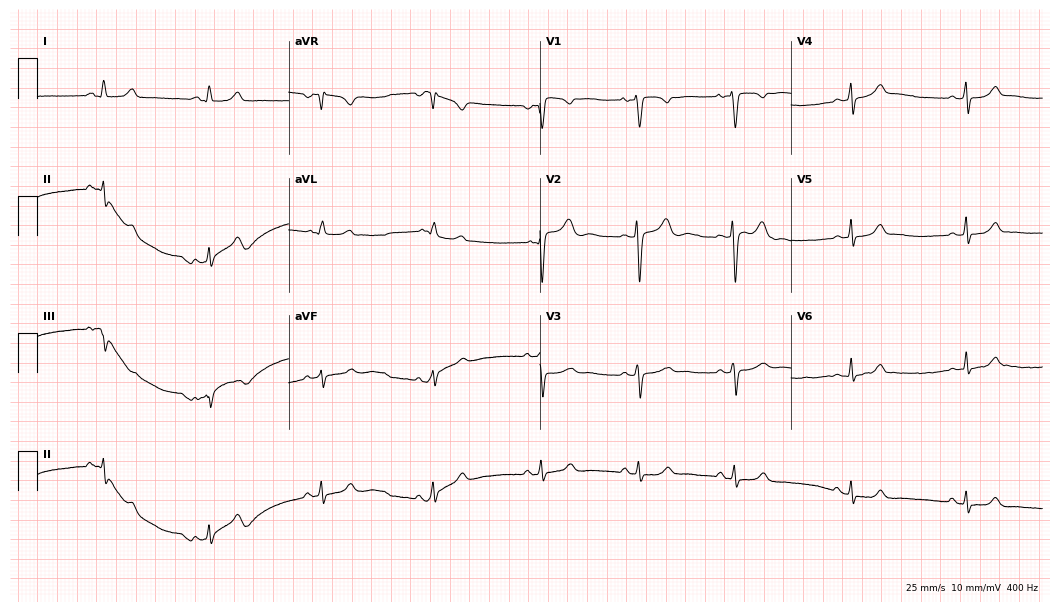
Standard 12-lead ECG recorded from a female patient, 20 years old. Read as a normal ECG.